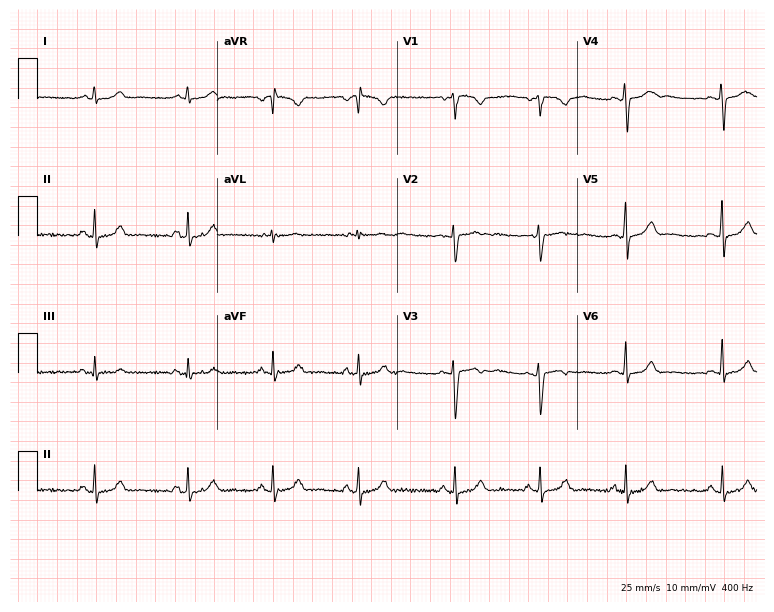
Electrocardiogram, a 19-year-old female patient. Overall reading on record: normal ECG.